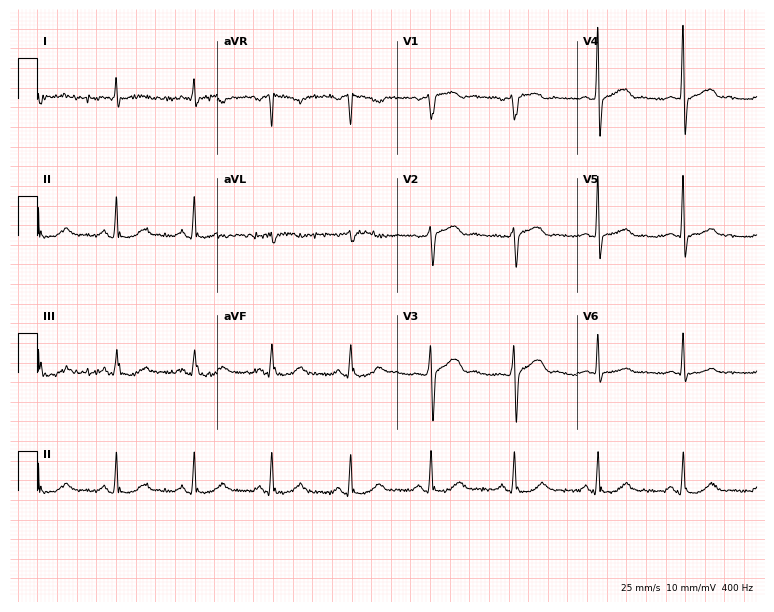
Standard 12-lead ECG recorded from a 59-year-old male patient (7.3-second recording at 400 Hz). Read as a normal ECG.